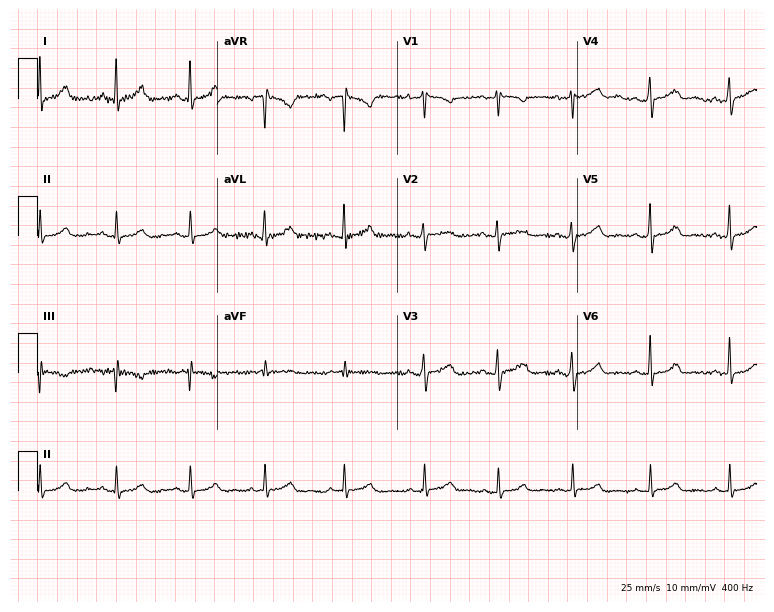
12-lead ECG from a 36-year-old female patient. Recorded interpretation: within normal limits.